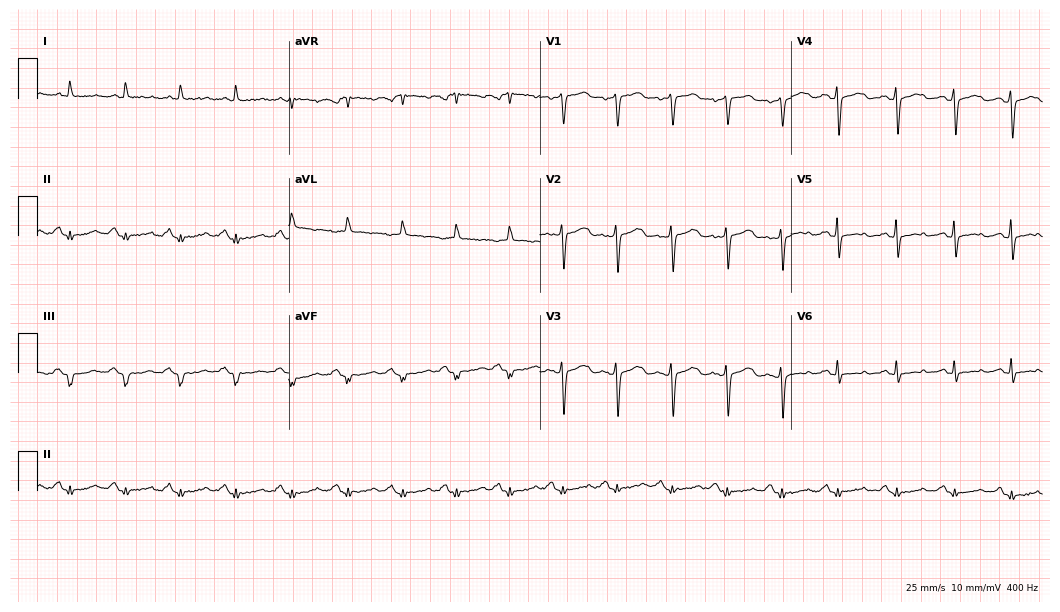
Resting 12-lead electrocardiogram (10.2-second recording at 400 Hz). Patient: a female, 71 years old. None of these six findings is recorded: first-degree AV block, right bundle branch block, left bundle branch block, sinus bradycardia, atrial fibrillation, sinus tachycardia.